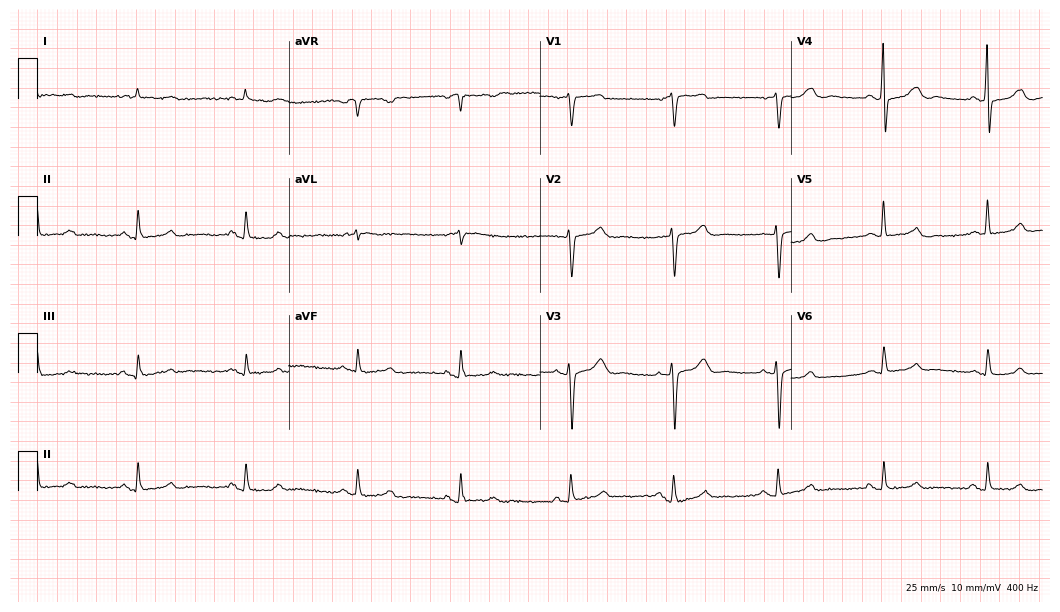
Resting 12-lead electrocardiogram (10.2-second recording at 400 Hz). Patient: a female, 69 years old. Read as a normal ECG.